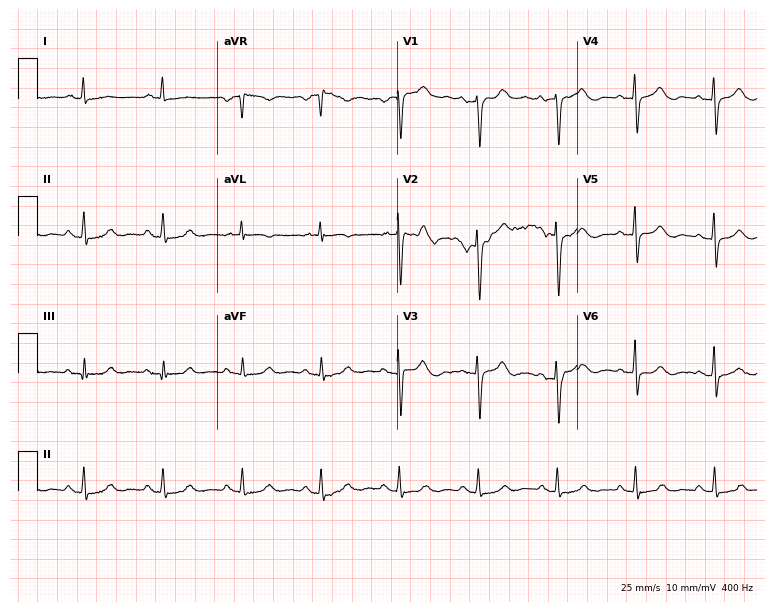
ECG (7.3-second recording at 400 Hz) — a female patient, 72 years old. Labelled as a normal ECG.